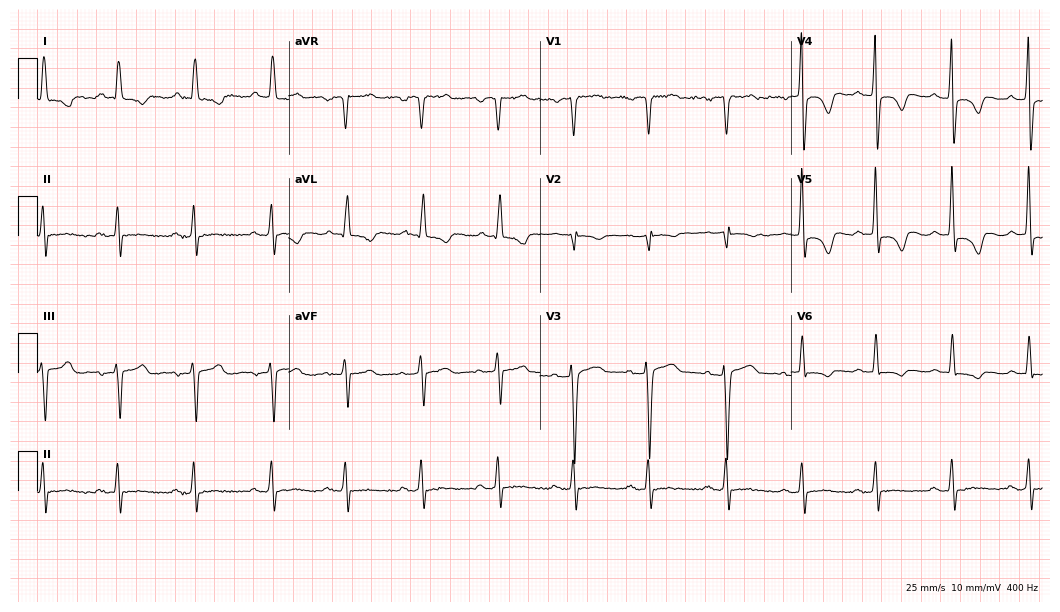
12-lead ECG from a woman, 66 years old. No first-degree AV block, right bundle branch block (RBBB), left bundle branch block (LBBB), sinus bradycardia, atrial fibrillation (AF) or sinus tachycardia recorded for this tracing. Findings outside these six are not listed.